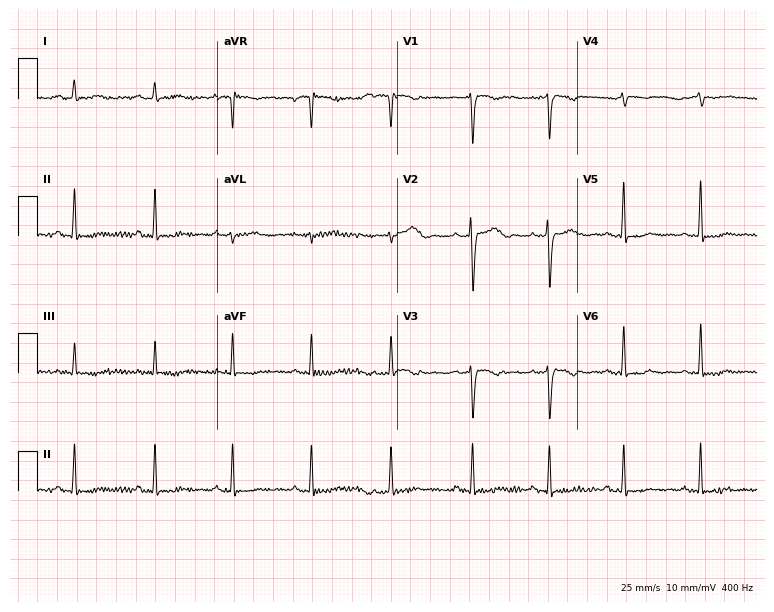
ECG — a woman, 39 years old. Screened for six findings — first-degree AV block, right bundle branch block, left bundle branch block, sinus bradycardia, atrial fibrillation, sinus tachycardia — none is recorded. Other findings, if any, are not listed.